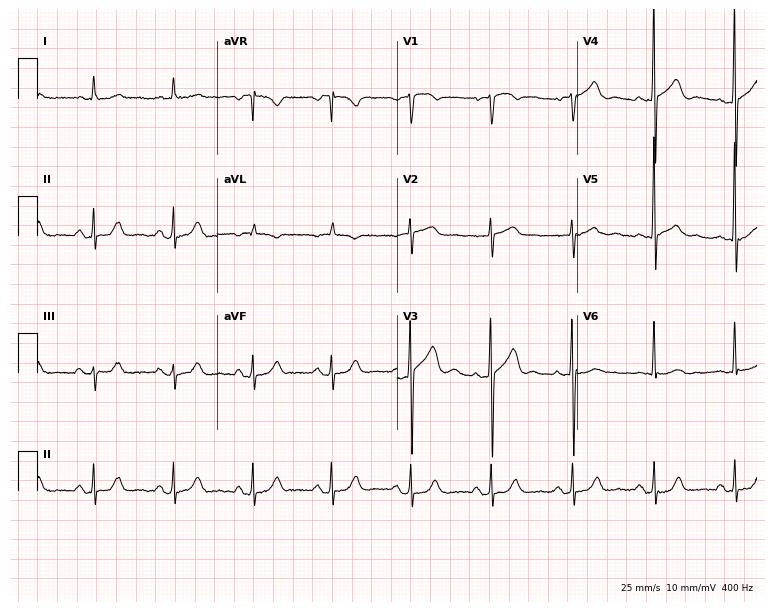
12-lead ECG from a 79-year-old male patient. Recorded interpretation: within normal limits.